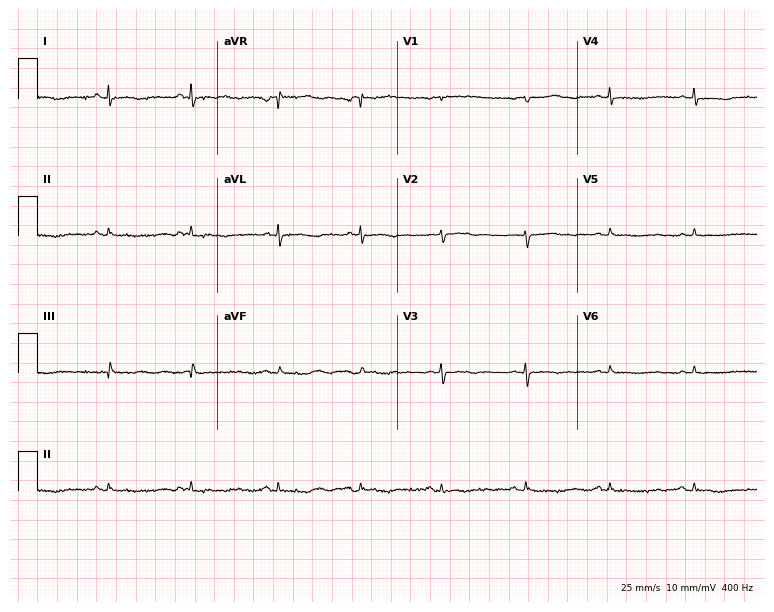
12-lead ECG (7.3-second recording at 400 Hz) from a woman, 25 years old. Screened for six findings — first-degree AV block, right bundle branch block, left bundle branch block, sinus bradycardia, atrial fibrillation, sinus tachycardia — none is recorded. Findings outside these six are not listed.